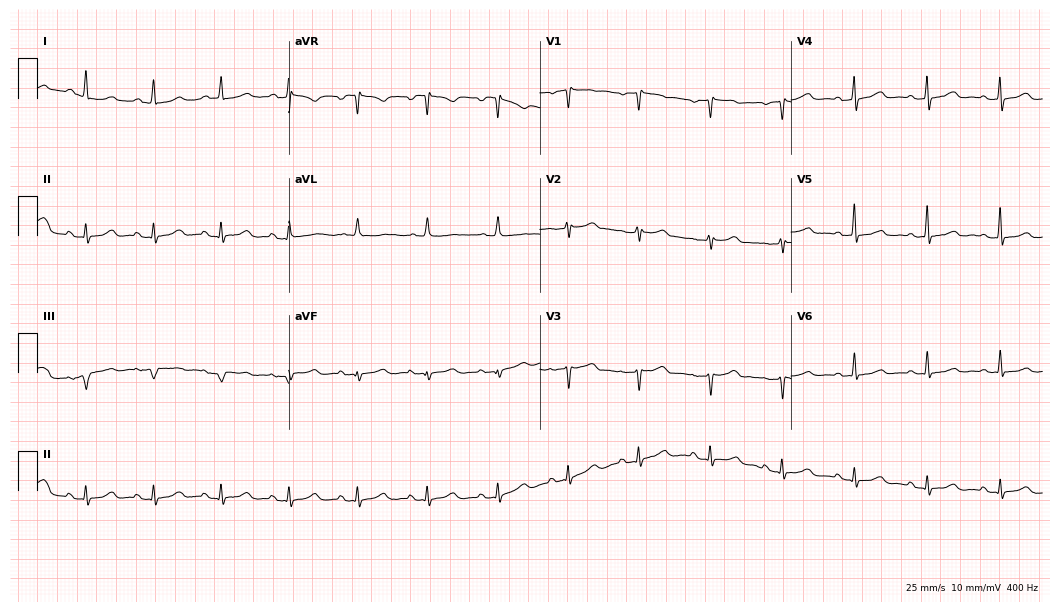
Resting 12-lead electrocardiogram (10.2-second recording at 400 Hz). Patient: a 48-year-old female. Read as a normal ECG.